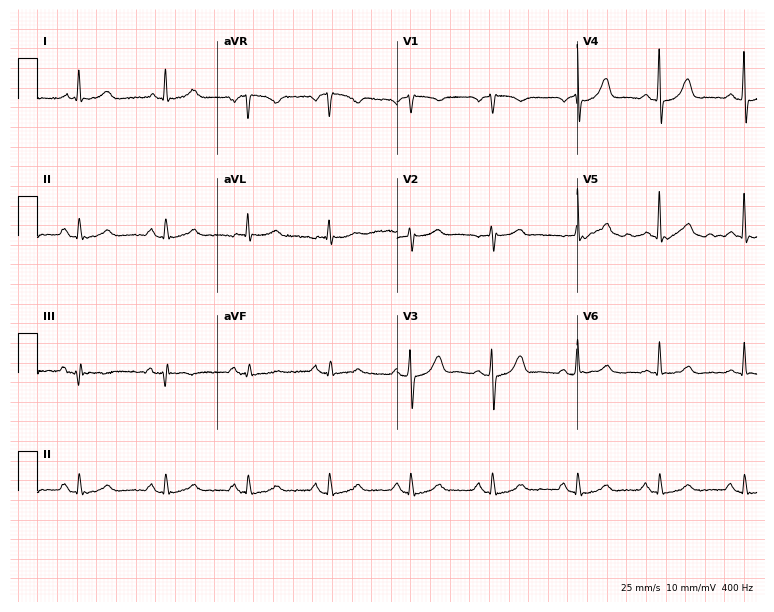
Resting 12-lead electrocardiogram. Patient: a female, 83 years old. None of these six findings is recorded: first-degree AV block, right bundle branch block (RBBB), left bundle branch block (LBBB), sinus bradycardia, atrial fibrillation (AF), sinus tachycardia. Findings outside these six are not listed.